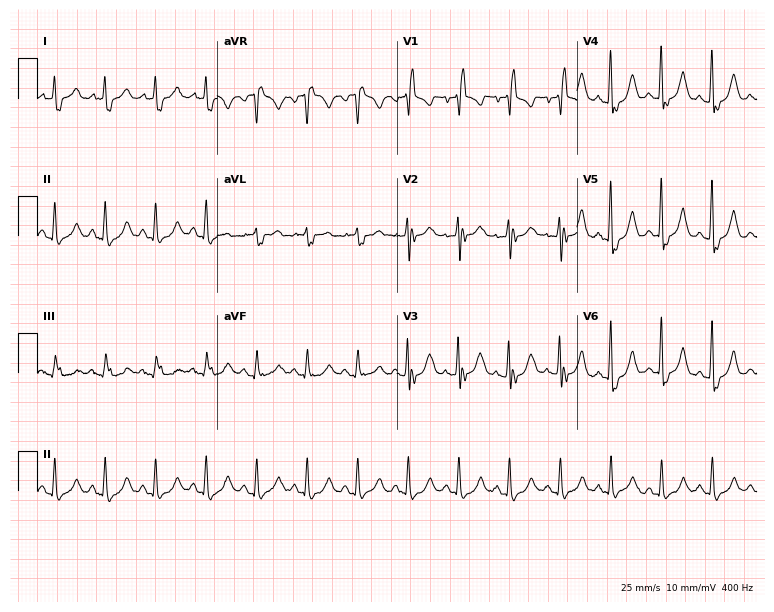
12-lead ECG from a female patient, 82 years old. Shows right bundle branch block (RBBB), sinus tachycardia (a sinus rate of 100 beats per minute or more).